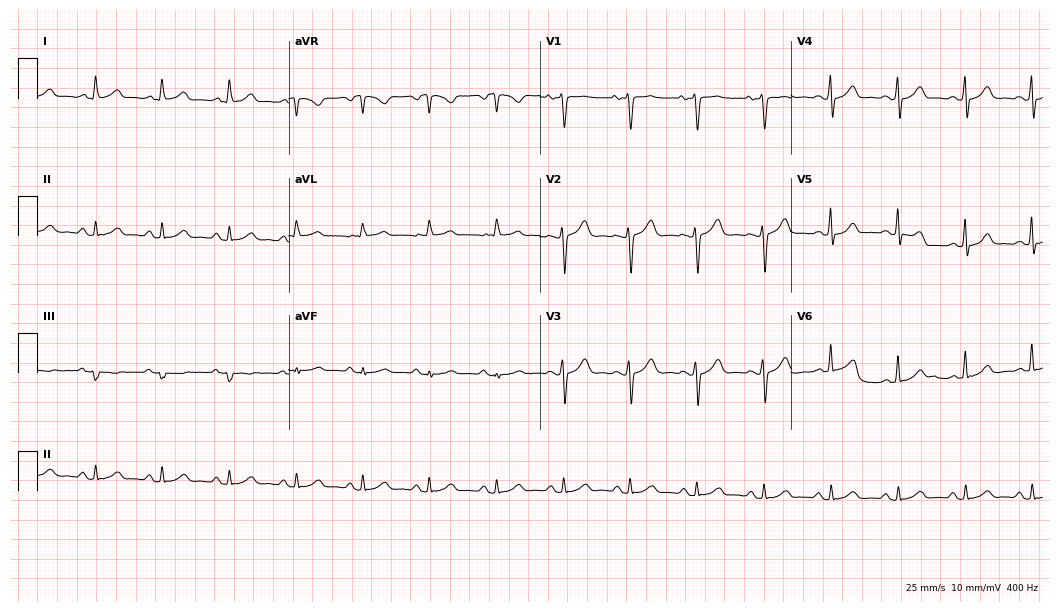
ECG (10.2-second recording at 400 Hz) — a female, 53 years old. Labelled as a normal ECG.